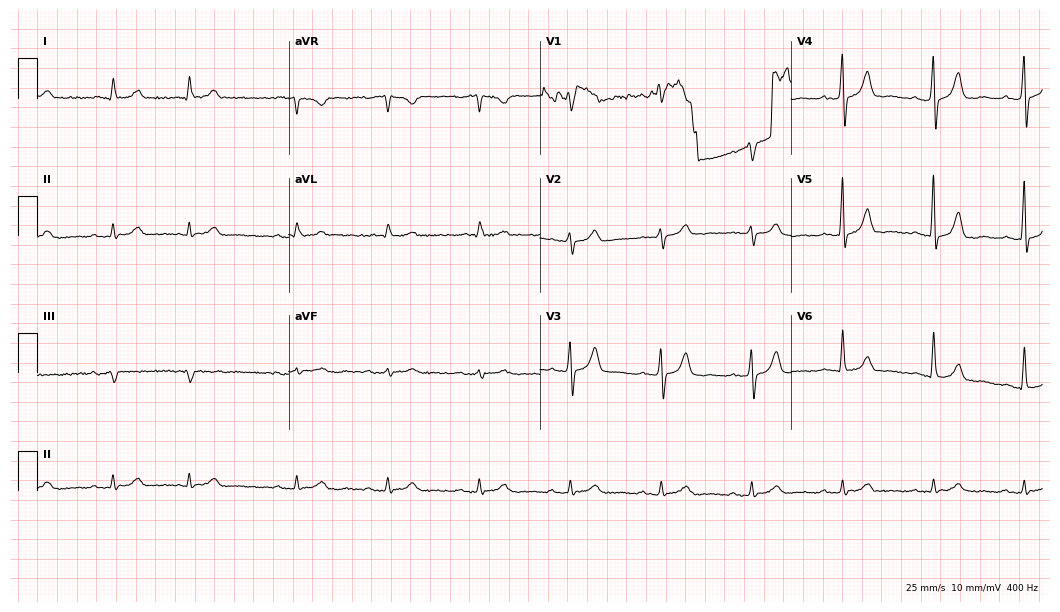
Standard 12-lead ECG recorded from a male, 84 years old. The tracing shows first-degree AV block.